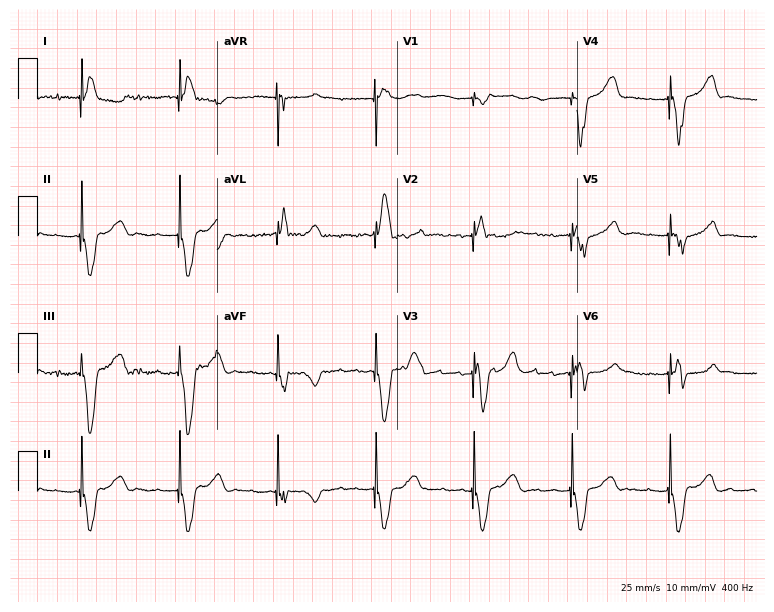
12-lead ECG from a female, 82 years old. Screened for six findings — first-degree AV block, right bundle branch block, left bundle branch block, sinus bradycardia, atrial fibrillation, sinus tachycardia — none is recorded. Other findings, if any, are not listed.